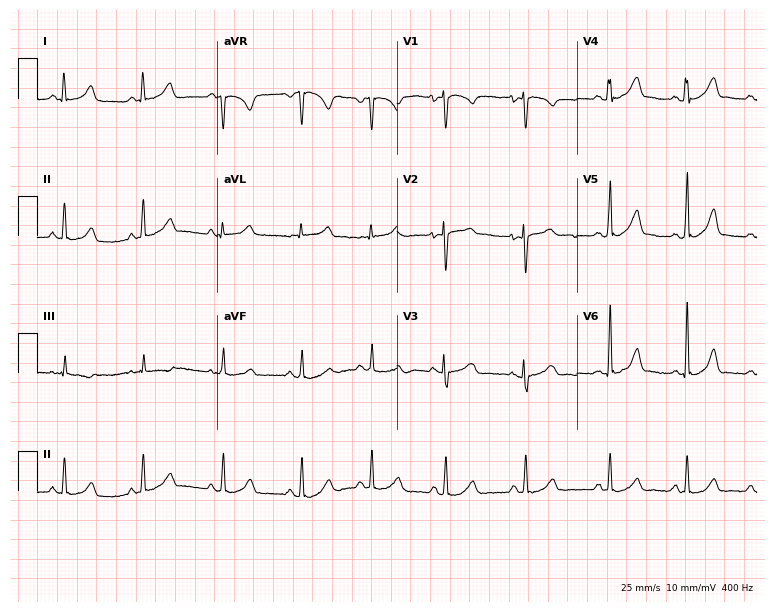
Standard 12-lead ECG recorded from a female patient, 20 years old. Read as a normal ECG.